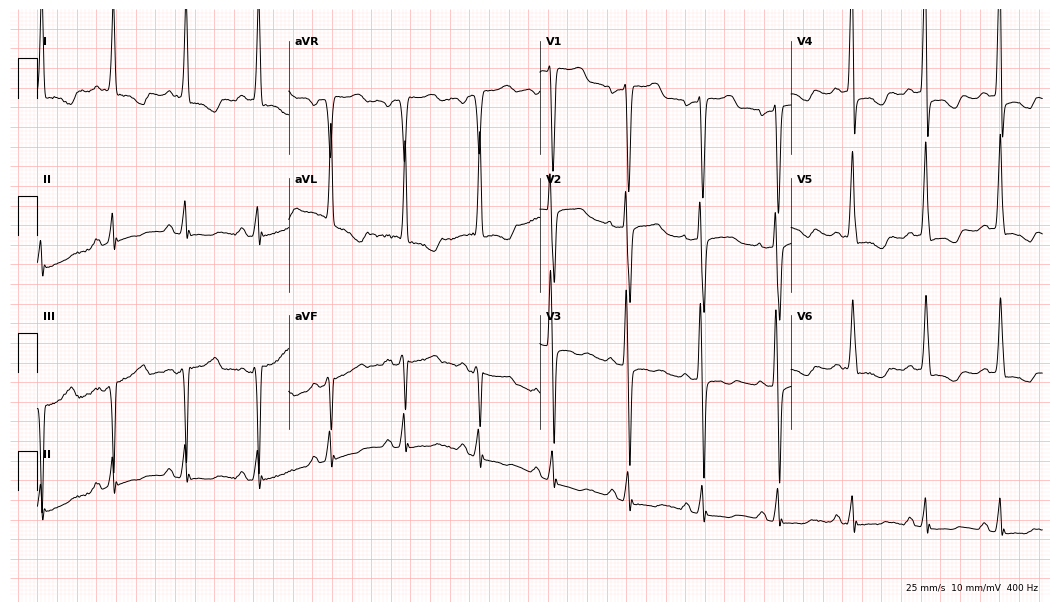
Standard 12-lead ECG recorded from a 44-year-old male patient (10.2-second recording at 400 Hz). None of these six findings is recorded: first-degree AV block, right bundle branch block, left bundle branch block, sinus bradycardia, atrial fibrillation, sinus tachycardia. Other findings, if any, are not listed.